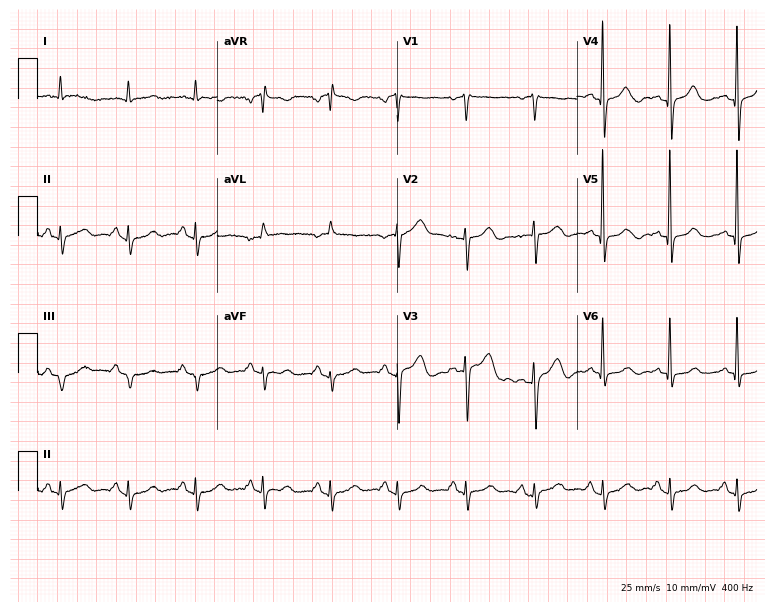
ECG (7.3-second recording at 400 Hz) — a 76-year-old woman. Labelled as a normal ECG.